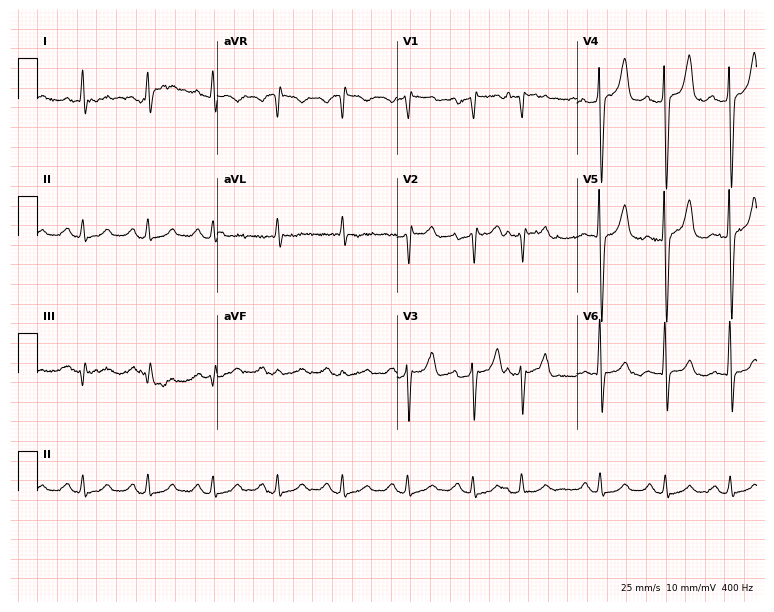
ECG (7.3-second recording at 400 Hz) — a man, 65 years old. Screened for six findings — first-degree AV block, right bundle branch block (RBBB), left bundle branch block (LBBB), sinus bradycardia, atrial fibrillation (AF), sinus tachycardia — none is recorded. Other findings, if any, are not listed.